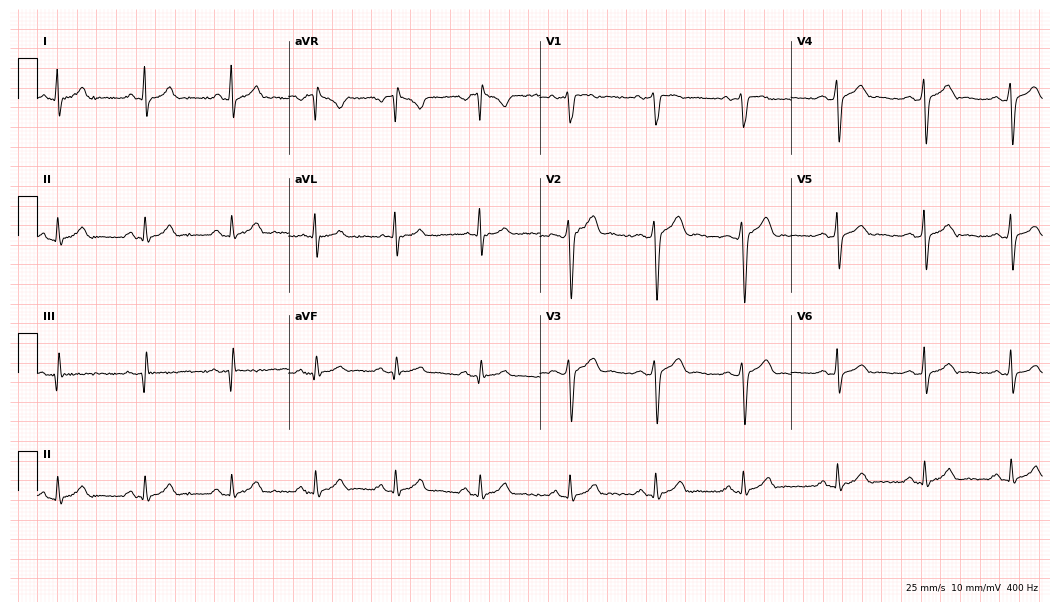
12-lead ECG from a male, 22 years old (10.2-second recording at 400 Hz). Recorded interpretation: within normal limits.